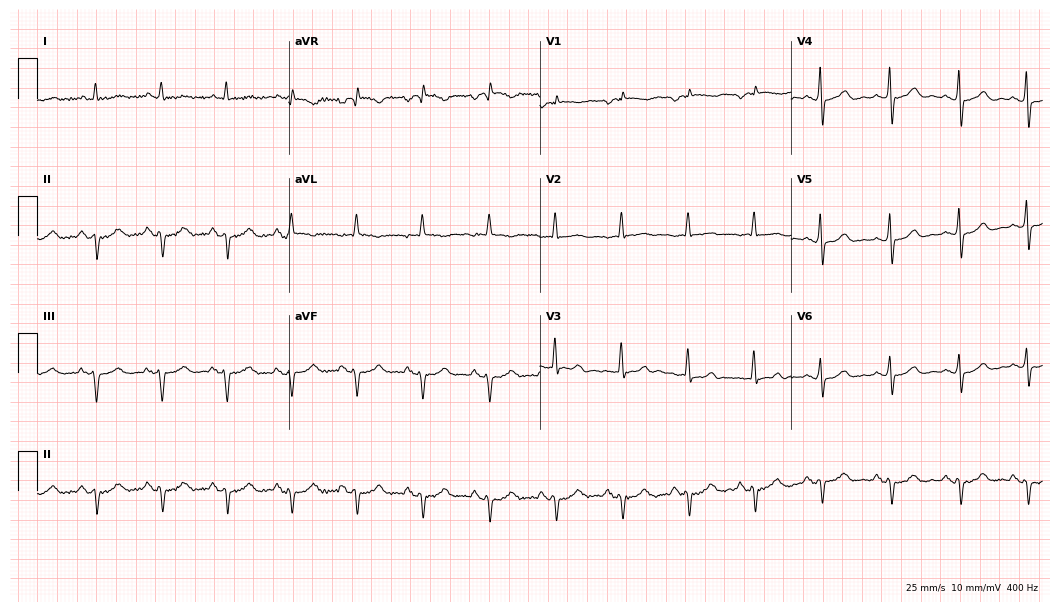
Resting 12-lead electrocardiogram (10.2-second recording at 400 Hz). Patient: an 81-year-old male. None of these six findings is recorded: first-degree AV block, right bundle branch block, left bundle branch block, sinus bradycardia, atrial fibrillation, sinus tachycardia. Only these six findings were labelled.